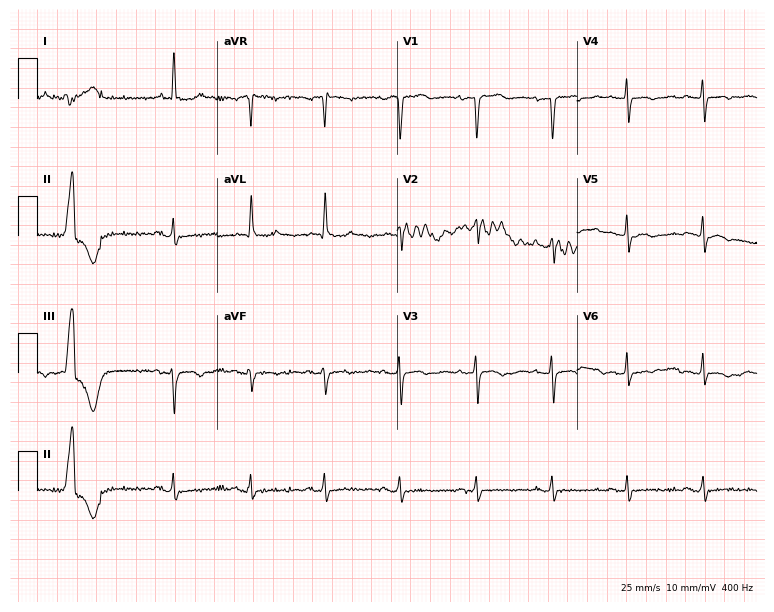
12-lead ECG (7.3-second recording at 400 Hz) from a 78-year-old woman. Screened for six findings — first-degree AV block, right bundle branch block, left bundle branch block, sinus bradycardia, atrial fibrillation, sinus tachycardia — none is recorded. Only these six findings were labelled.